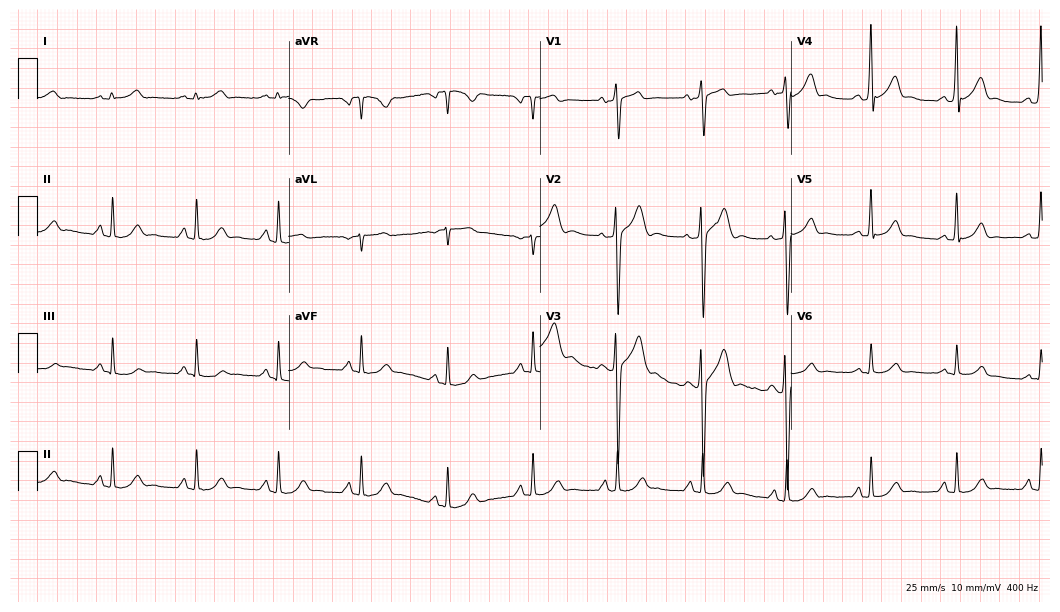
ECG — a male, 31 years old. Labelled as a normal ECG.